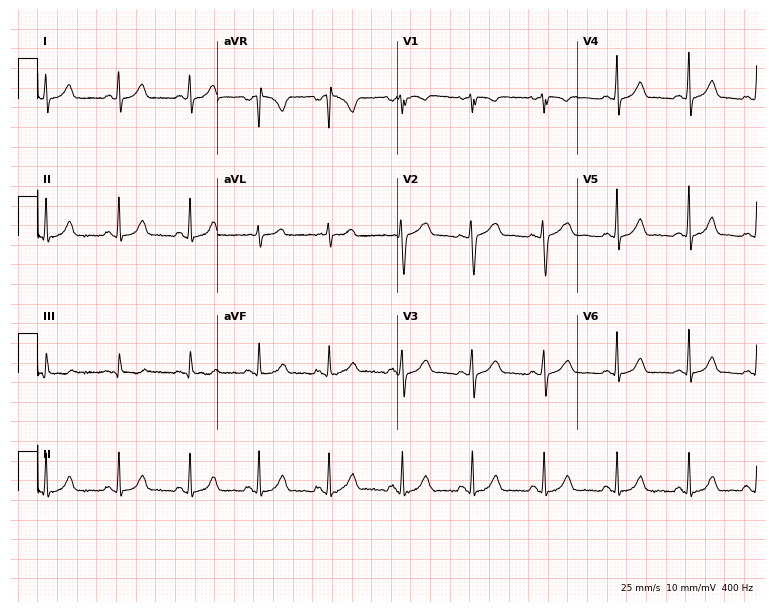
12-lead ECG (7.3-second recording at 400 Hz) from a 30-year-old woman. Labelled as a normal ECG.